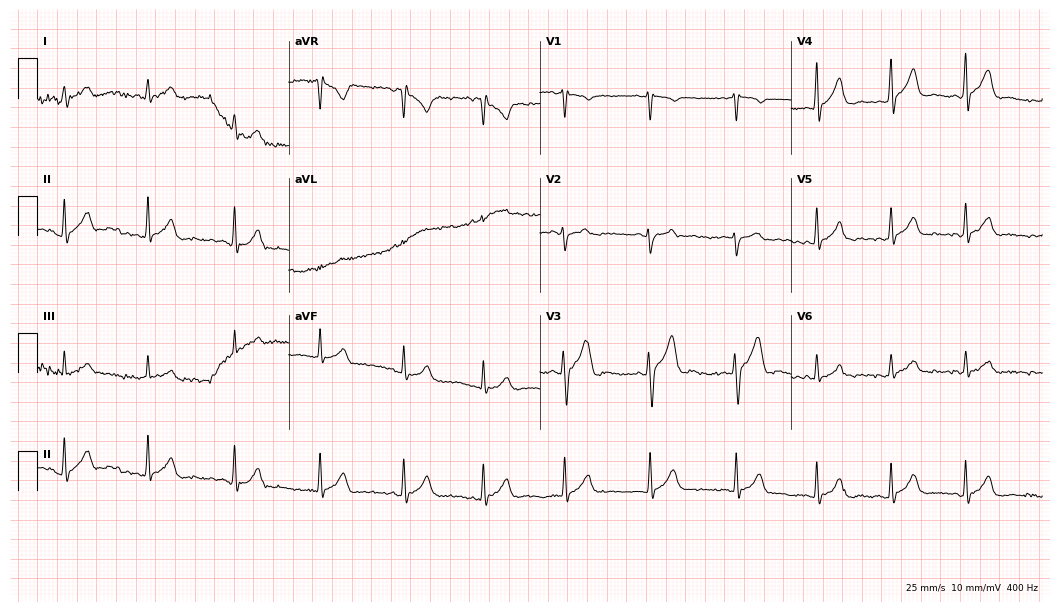
Standard 12-lead ECG recorded from a male patient, 20 years old (10.2-second recording at 400 Hz). None of these six findings is recorded: first-degree AV block, right bundle branch block (RBBB), left bundle branch block (LBBB), sinus bradycardia, atrial fibrillation (AF), sinus tachycardia.